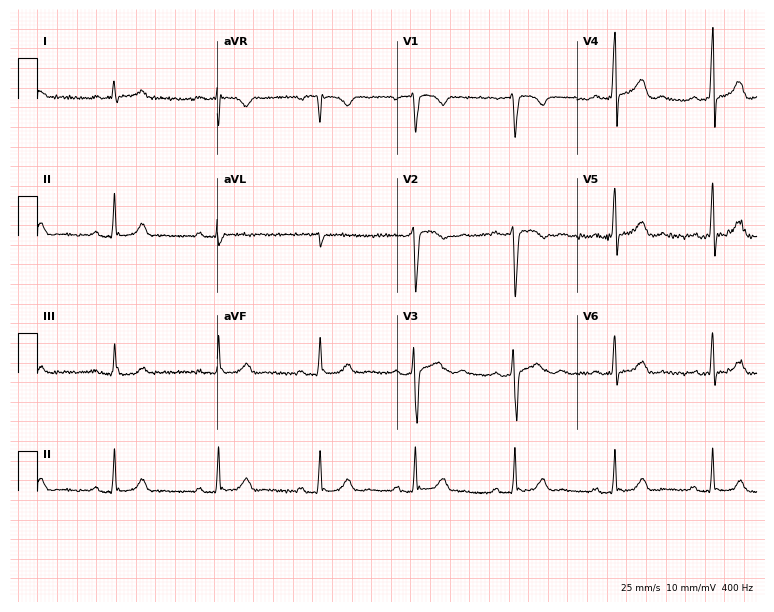
12-lead ECG from a male patient, 41 years old. Labelled as a normal ECG.